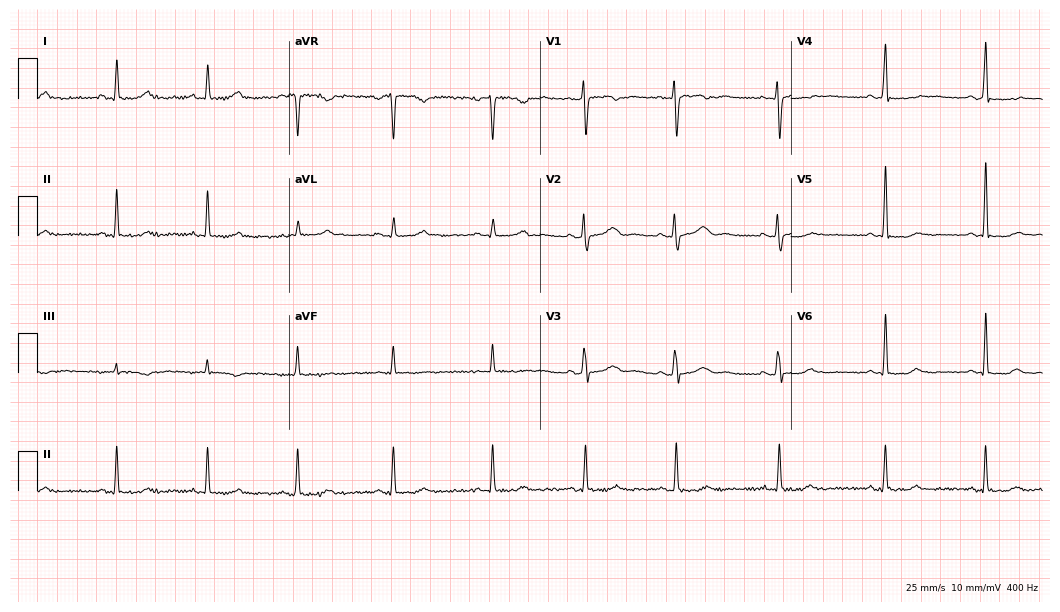
12-lead ECG from a female, 32 years old. No first-degree AV block, right bundle branch block, left bundle branch block, sinus bradycardia, atrial fibrillation or sinus tachycardia recorded for this tracing.